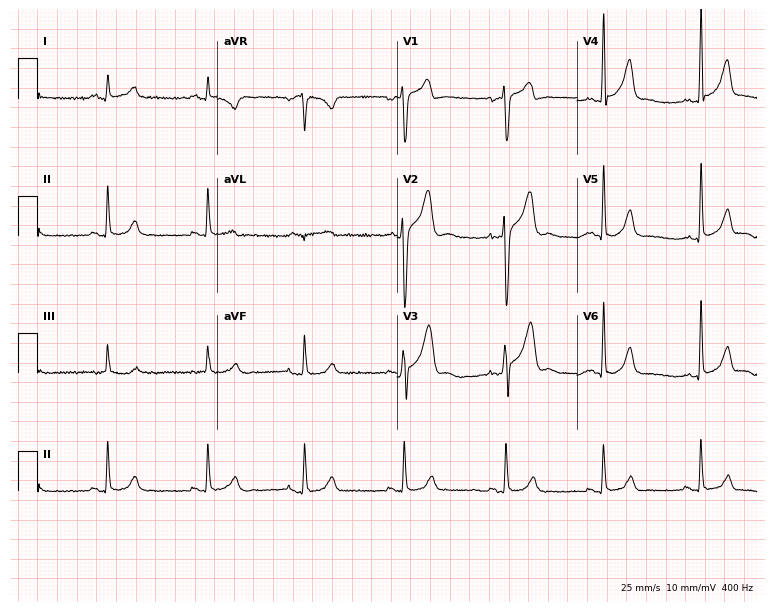
Standard 12-lead ECG recorded from a 26-year-old man. Read as a normal ECG.